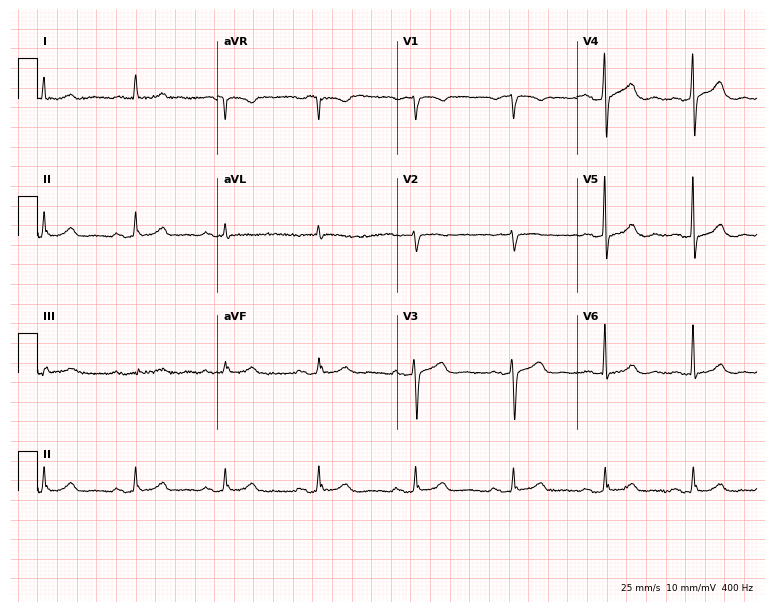
12-lead ECG (7.3-second recording at 400 Hz) from a woman, 79 years old. Screened for six findings — first-degree AV block, right bundle branch block, left bundle branch block, sinus bradycardia, atrial fibrillation, sinus tachycardia — none is recorded. Findings outside these six are not listed.